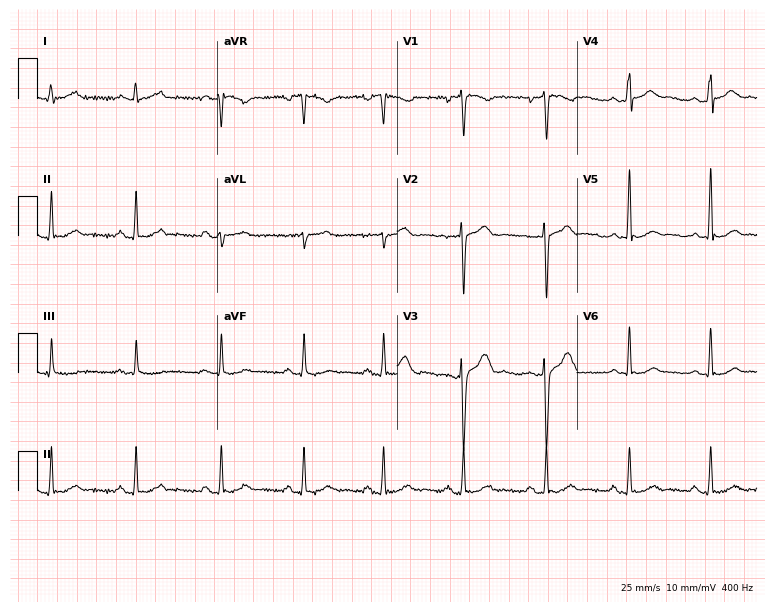
12-lead ECG from a male, 39 years old (7.3-second recording at 400 Hz). Recorded interpretation: within normal limits.